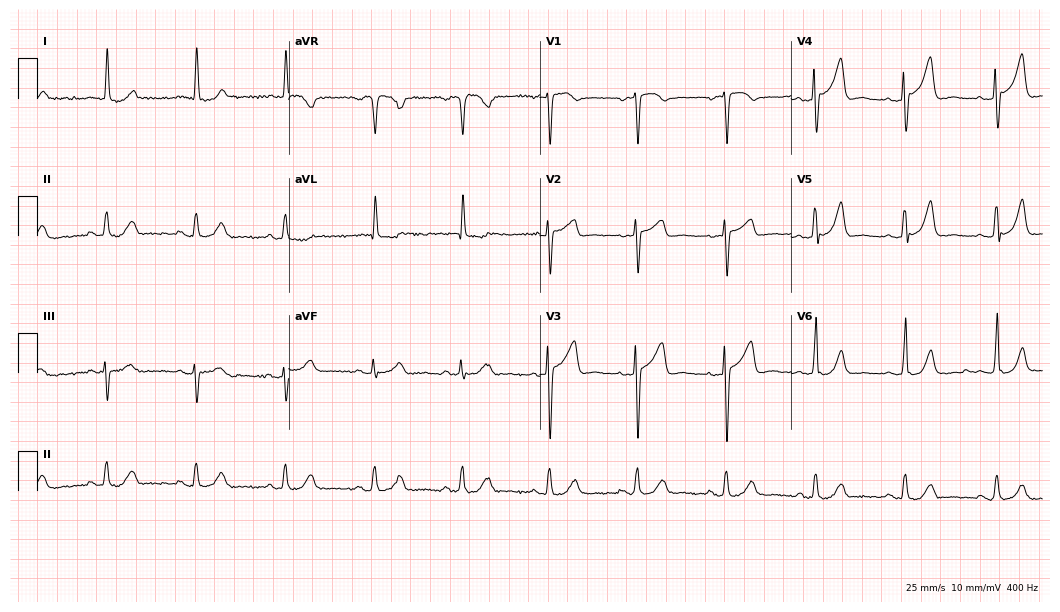
12-lead ECG from a woman, 78 years old (10.2-second recording at 400 Hz). Recorded interpretation: within normal limits.